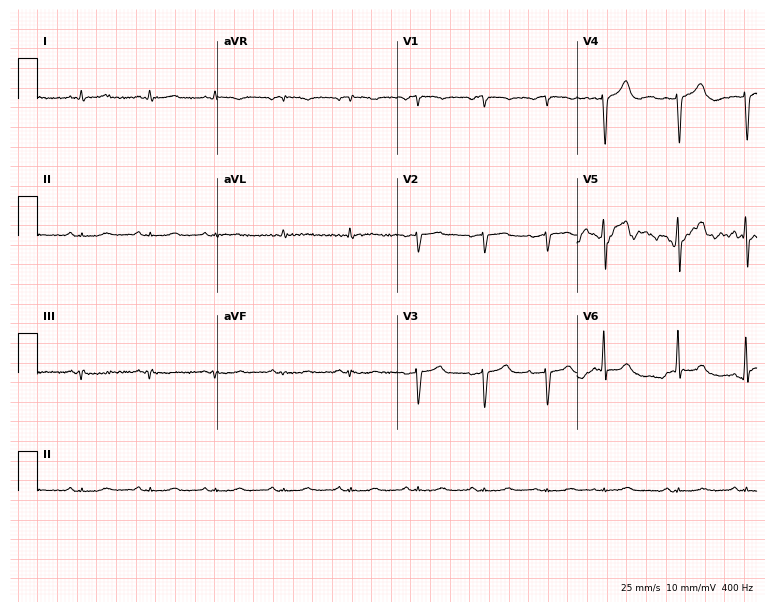
Electrocardiogram (7.3-second recording at 400 Hz), a male, 84 years old. Of the six screened findings (first-degree AV block, right bundle branch block, left bundle branch block, sinus bradycardia, atrial fibrillation, sinus tachycardia), none is recorded.